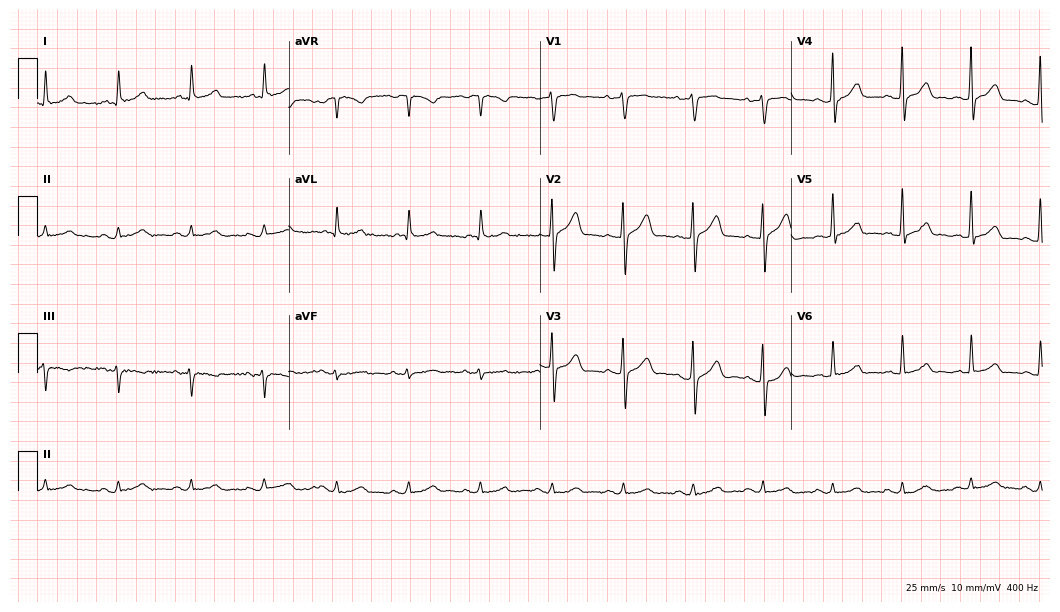
ECG (10.2-second recording at 400 Hz) — a 78-year-old male. Labelled as a normal ECG.